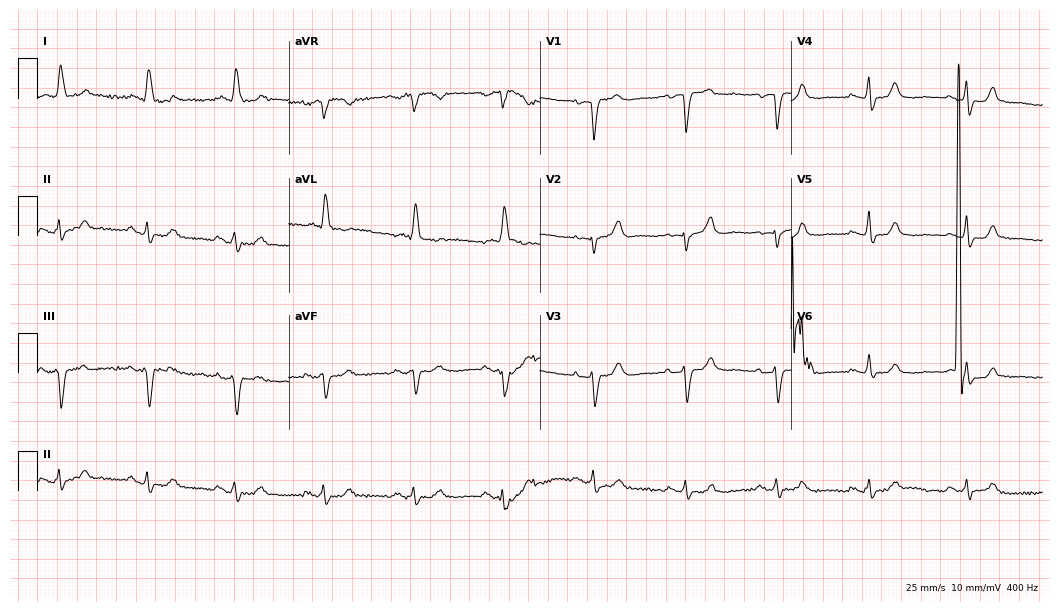
Resting 12-lead electrocardiogram. Patient: a female, 72 years old. None of these six findings is recorded: first-degree AV block, right bundle branch block, left bundle branch block, sinus bradycardia, atrial fibrillation, sinus tachycardia. Only these six findings were labelled.